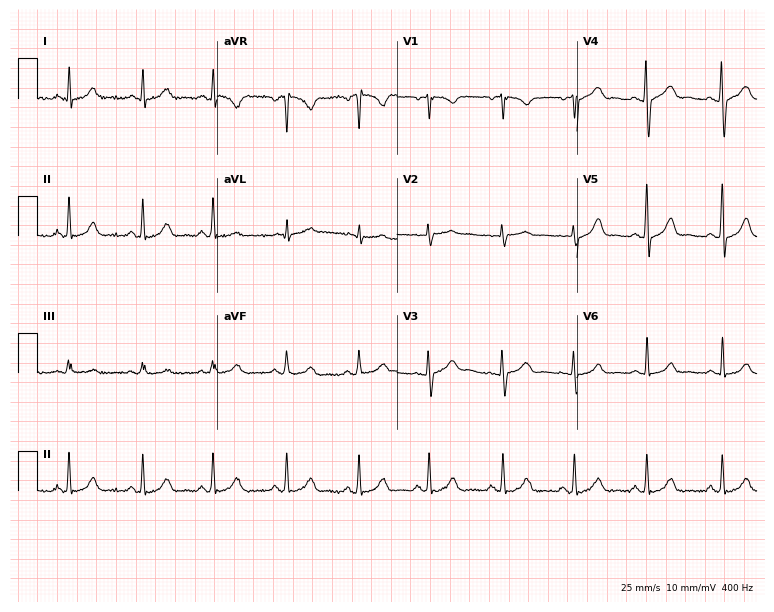
12-lead ECG (7.3-second recording at 400 Hz) from a 30-year-old female patient. Labelled as a normal ECG.